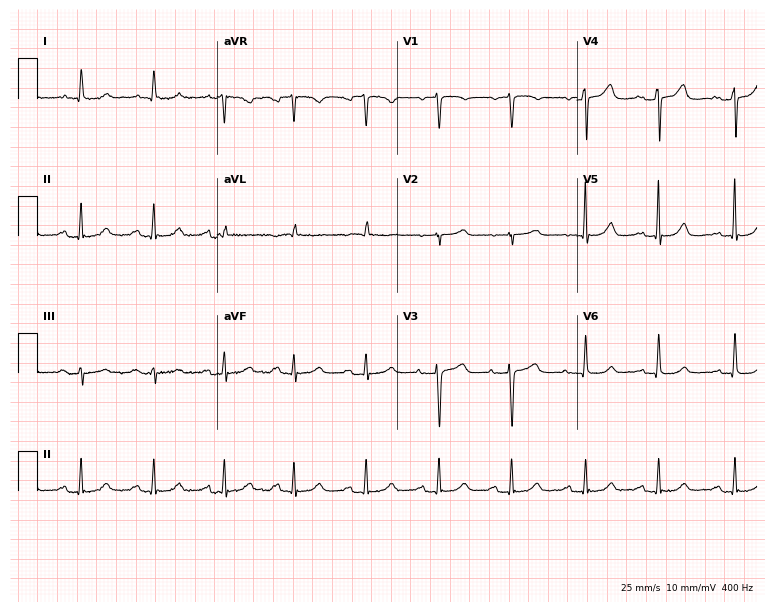
12-lead ECG from a 76-year-old female. Findings include first-degree AV block.